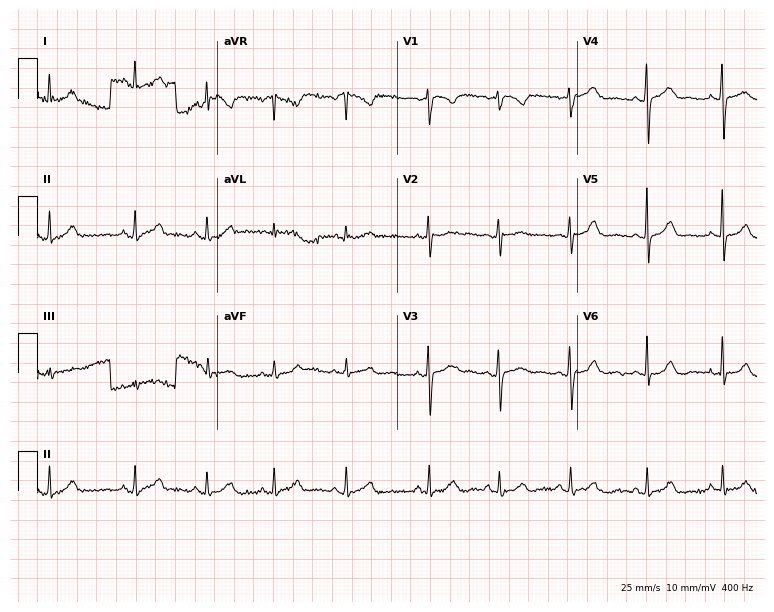
Resting 12-lead electrocardiogram. Patient: a female, 17 years old. Read as a normal ECG.